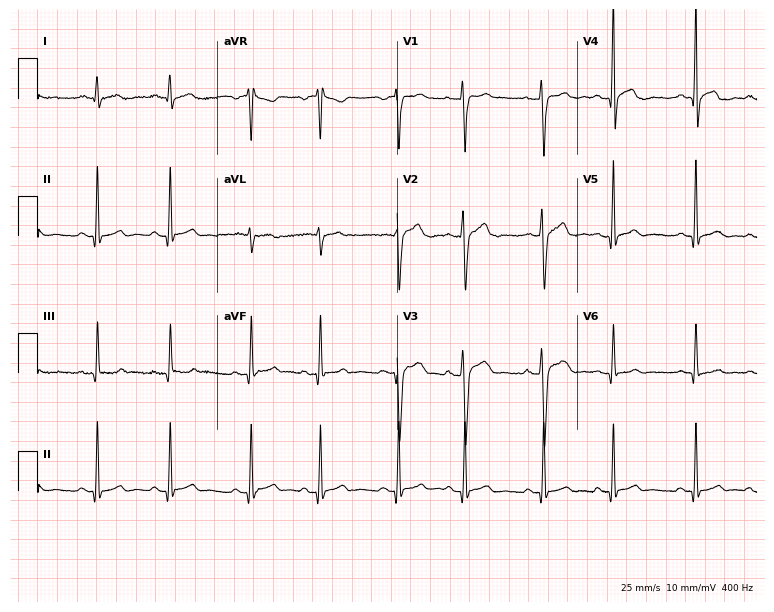
Standard 12-lead ECG recorded from a male, 23 years old. Read as a normal ECG.